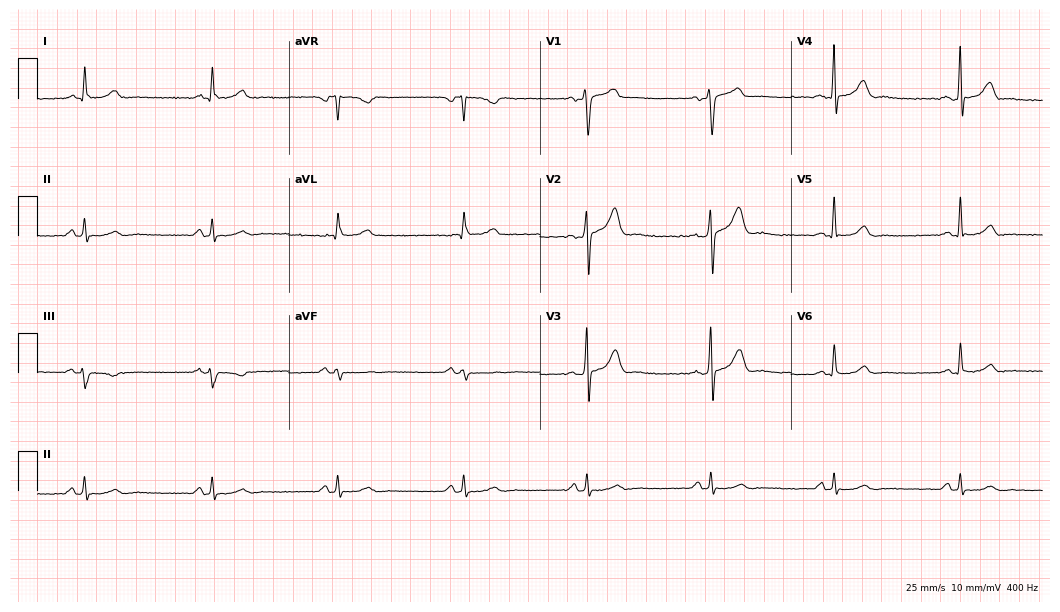
Electrocardiogram (10.2-second recording at 400 Hz), a 39-year-old man. Interpretation includes sinus bradycardia (a sinus rate of 50 beats per minute or less).